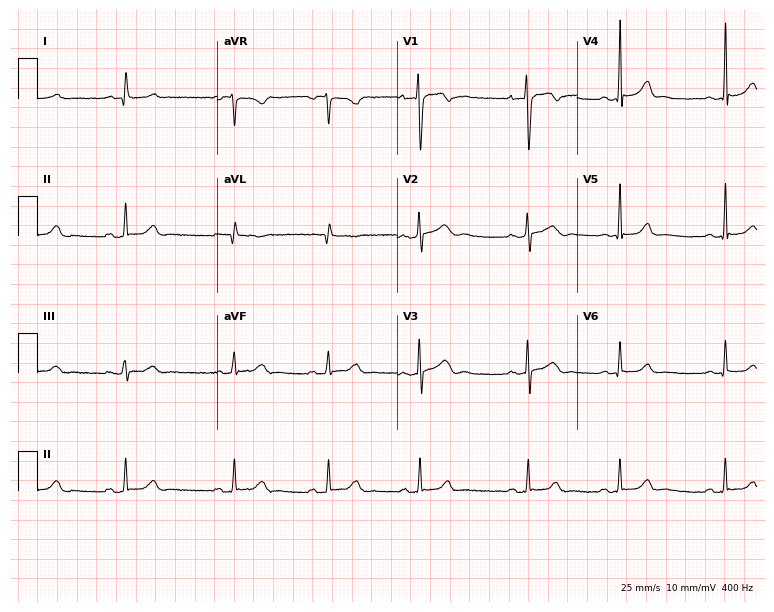
ECG — a 22-year-old female patient. Labelled as a normal ECG.